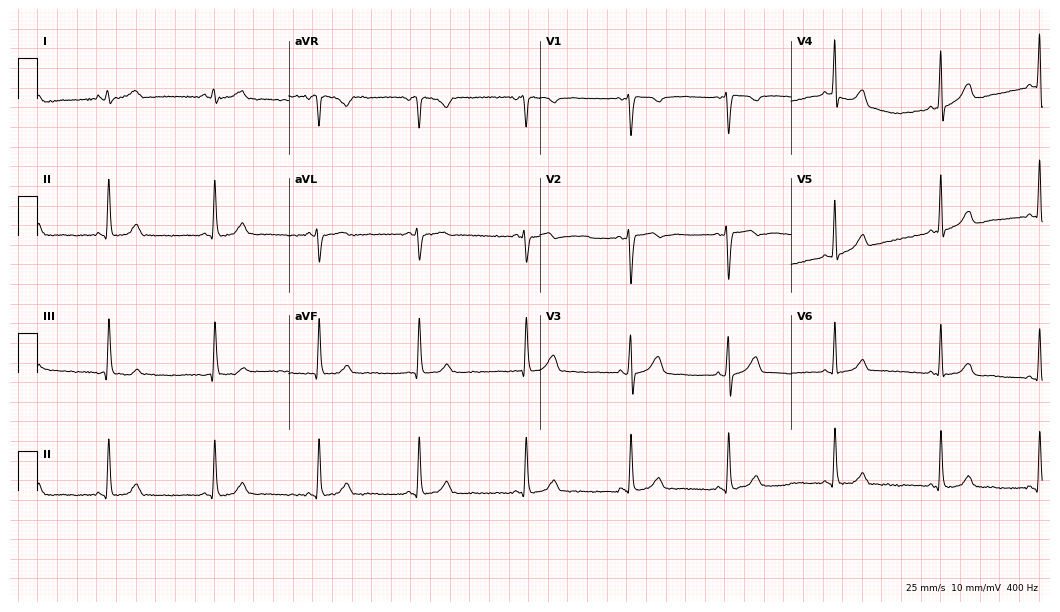
Resting 12-lead electrocardiogram. Patient: a 39-year-old female. Read as a normal ECG.